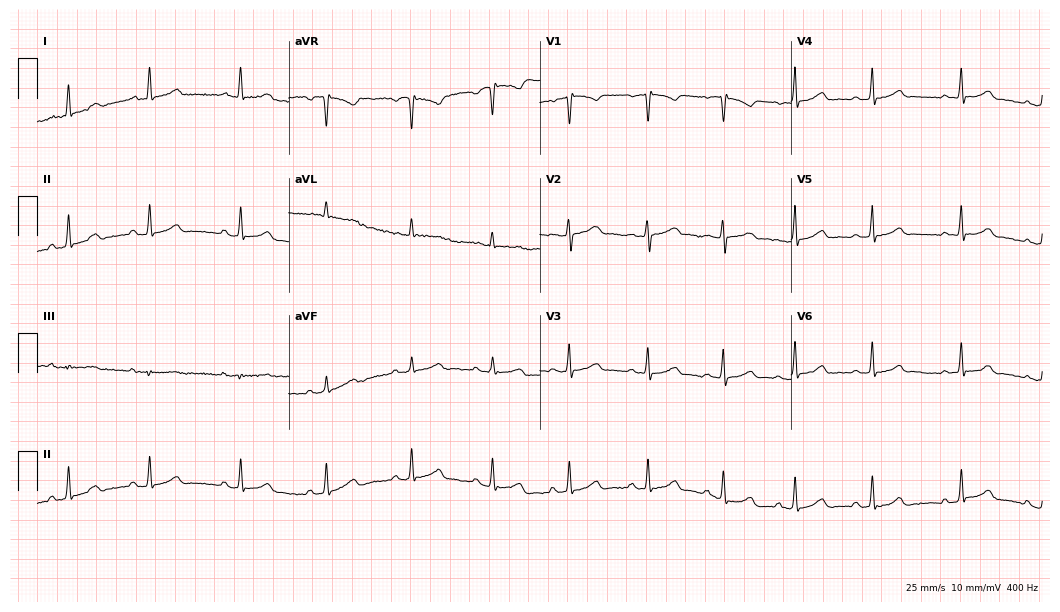
ECG (10.2-second recording at 400 Hz) — a female patient, 21 years old. Labelled as a normal ECG.